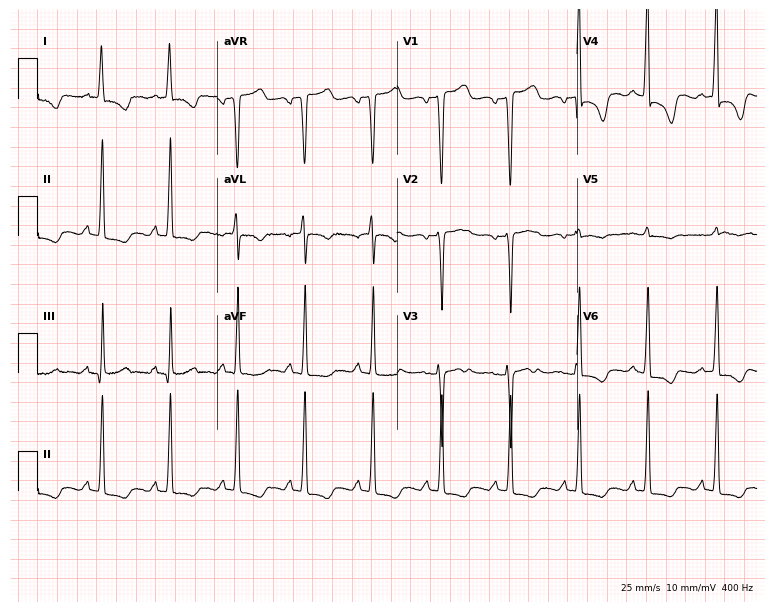
Standard 12-lead ECG recorded from a female, 74 years old (7.3-second recording at 400 Hz). None of these six findings is recorded: first-degree AV block, right bundle branch block, left bundle branch block, sinus bradycardia, atrial fibrillation, sinus tachycardia.